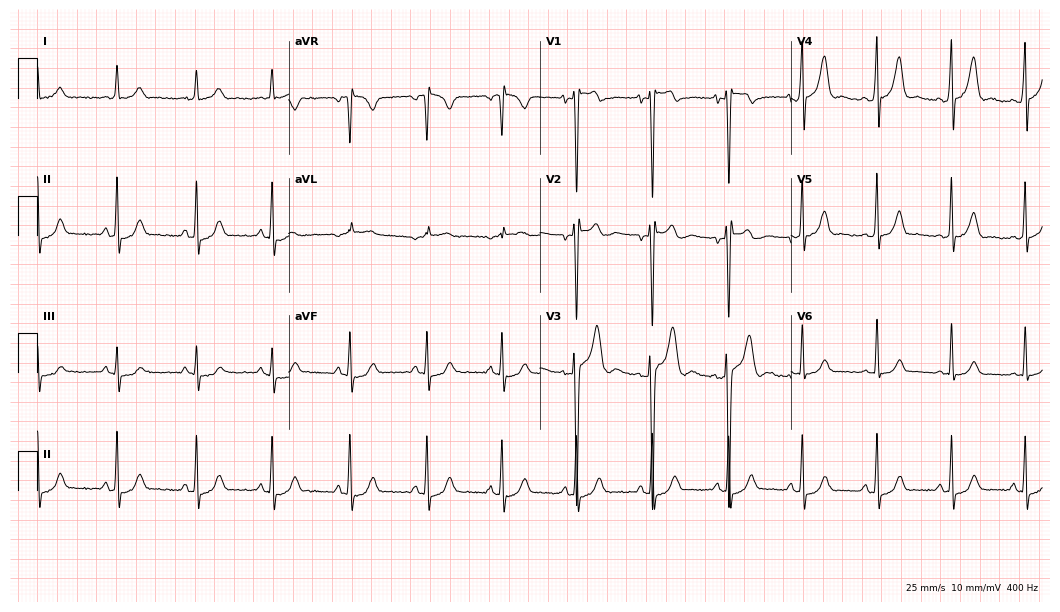
12-lead ECG from a male patient, 18 years old. Recorded interpretation: within normal limits.